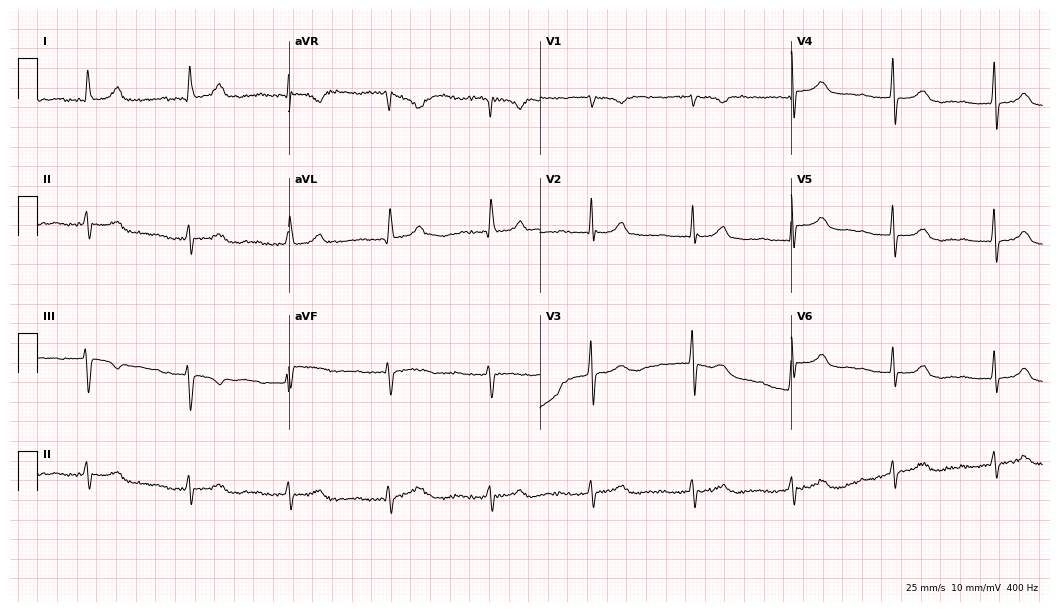
12-lead ECG from a 75-year-old female patient. Screened for six findings — first-degree AV block, right bundle branch block, left bundle branch block, sinus bradycardia, atrial fibrillation, sinus tachycardia — none is recorded.